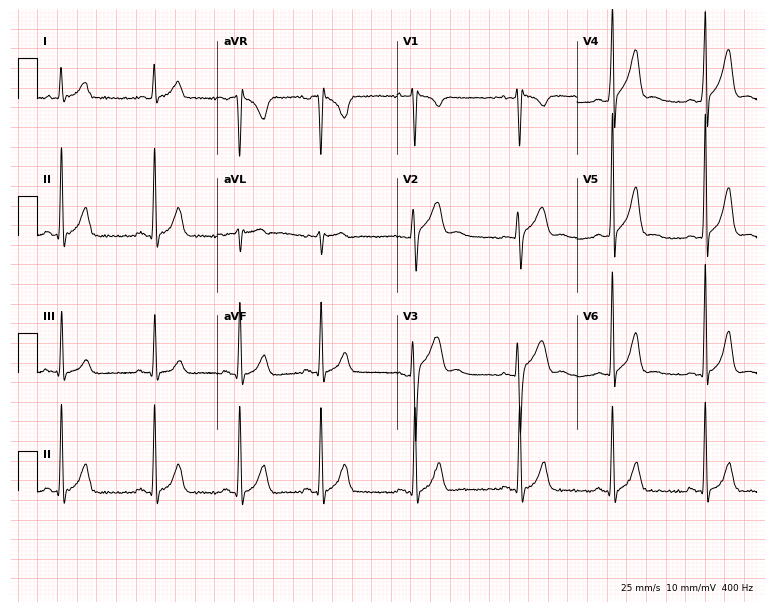
Standard 12-lead ECG recorded from a 41-year-old male. Read as a normal ECG.